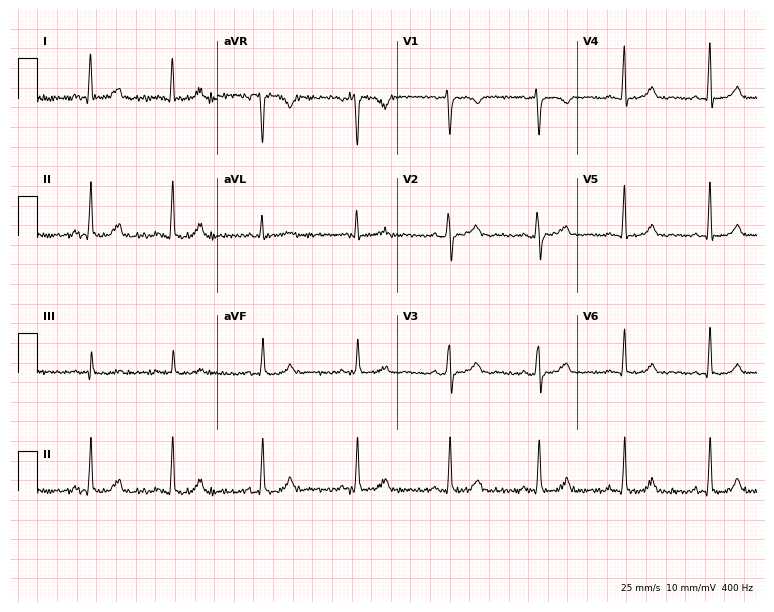
12-lead ECG from a female patient, 34 years old (7.3-second recording at 400 Hz). Recorded interpretation: within normal limits.